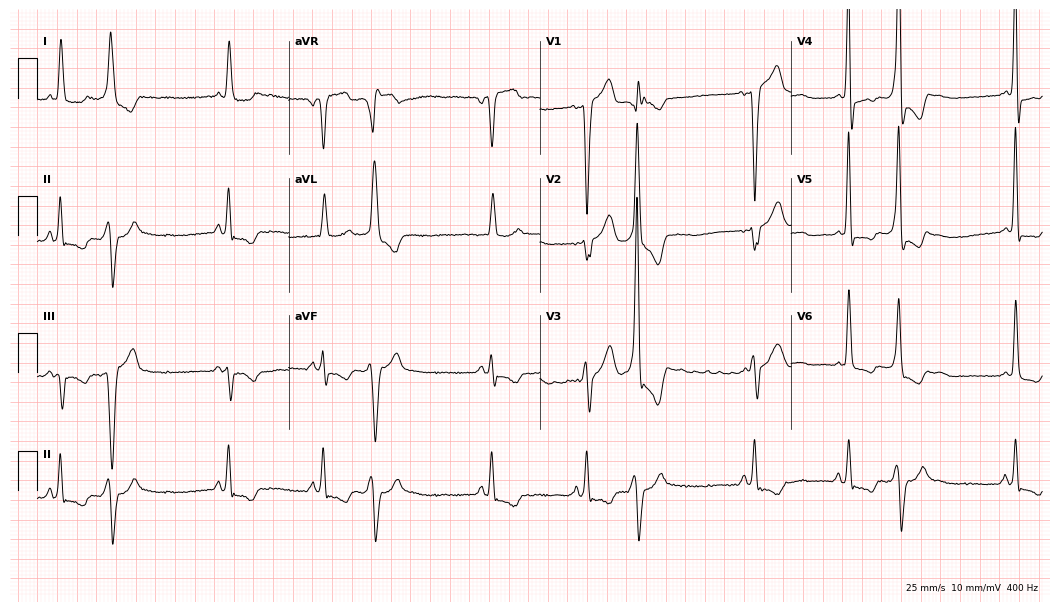
Electrocardiogram (10.2-second recording at 400 Hz), a 55-year-old man. Of the six screened findings (first-degree AV block, right bundle branch block (RBBB), left bundle branch block (LBBB), sinus bradycardia, atrial fibrillation (AF), sinus tachycardia), none is recorded.